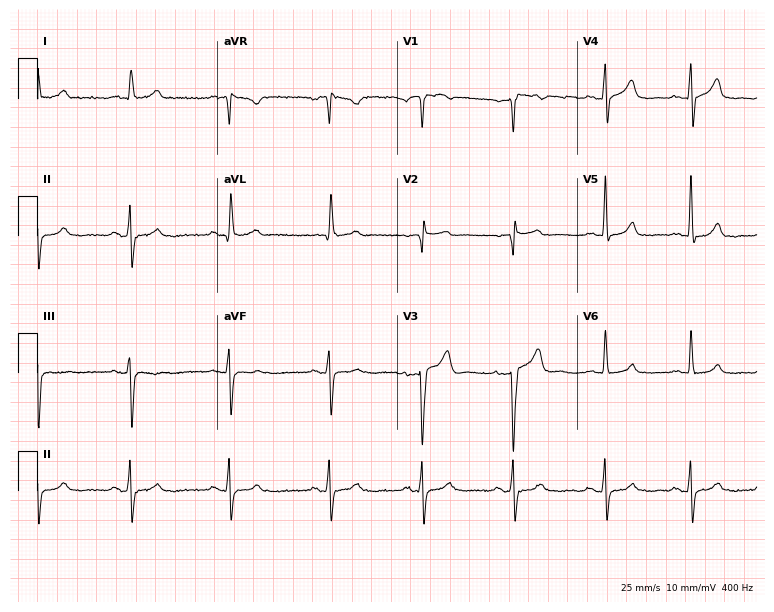
Electrocardiogram (7.3-second recording at 400 Hz), a 66-year-old man. Of the six screened findings (first-degree AV block, right bundle branch block (RBBB), left bundle branch block (LBBB), sinus bradycardia, atrial fibrillation (AF), sinus tachycardia), none is recorded.